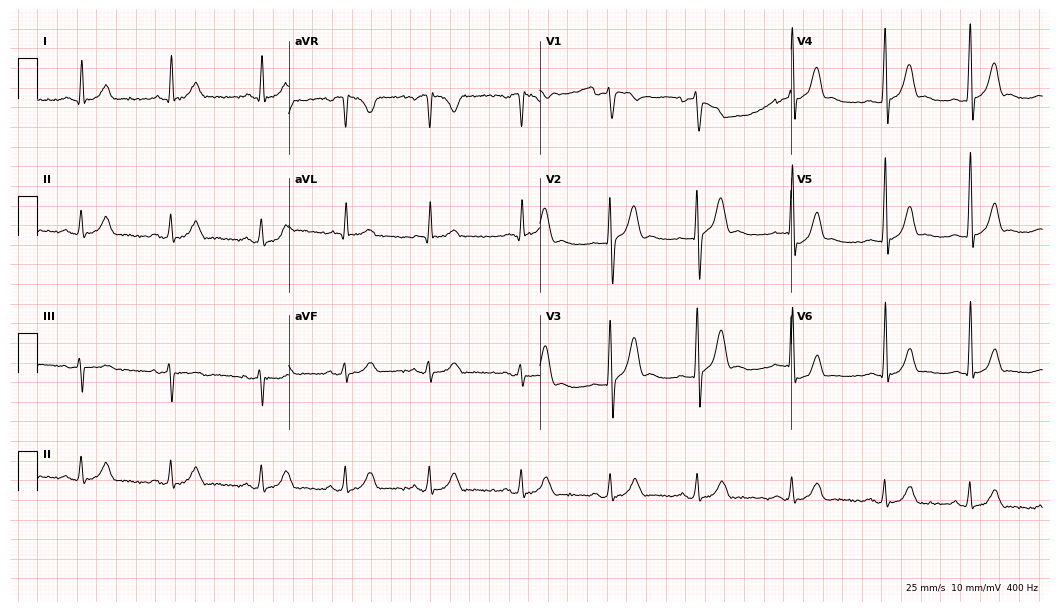
Resting 12-lead electrocardiogram. Patient: a male, 28 years old. None of these six findings is recorded: first-degree AV block, right bundle branch block (RBBB), left bundle branch block (LBBB), sinus bradycardia, atrial fibrillation (AF), sinus tachycardia. Findings outside these six are not listed.